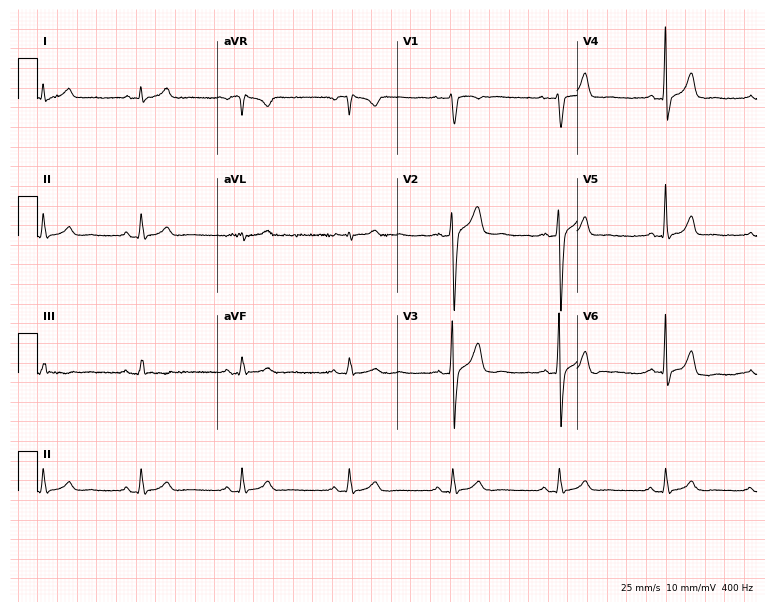
Electrocardiogram (7.3-second recording at 400 Hz), a male patient, 39 years old. Overall reading on record: normal ECG.